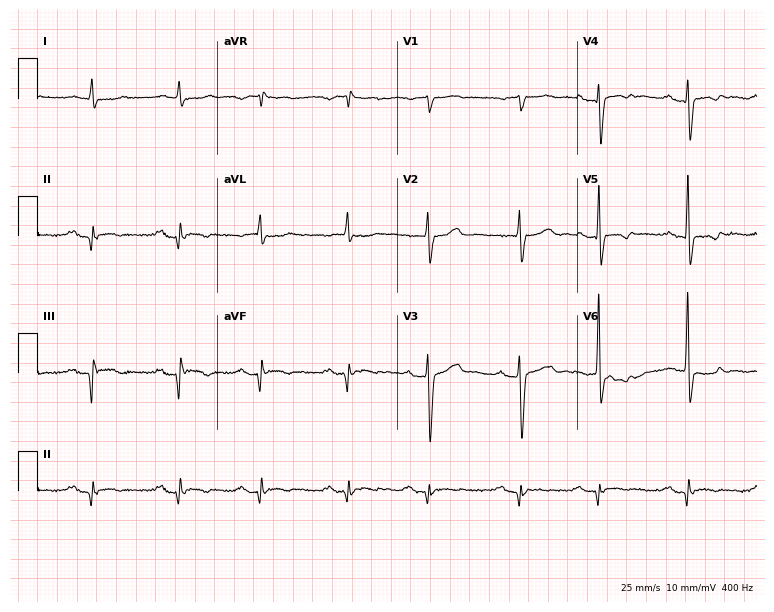
Electrocardiogram, an 81-year-old man. Interpretation includes first-degree AV block.